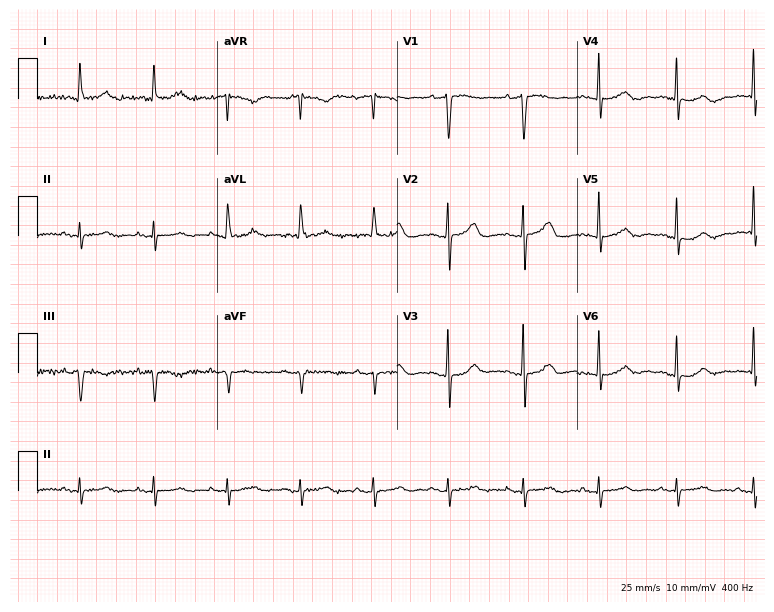
12-lead ECG (7.3-second recording at 400 Hz) from an 85-year-old woman. Labelled as a normal ECG.